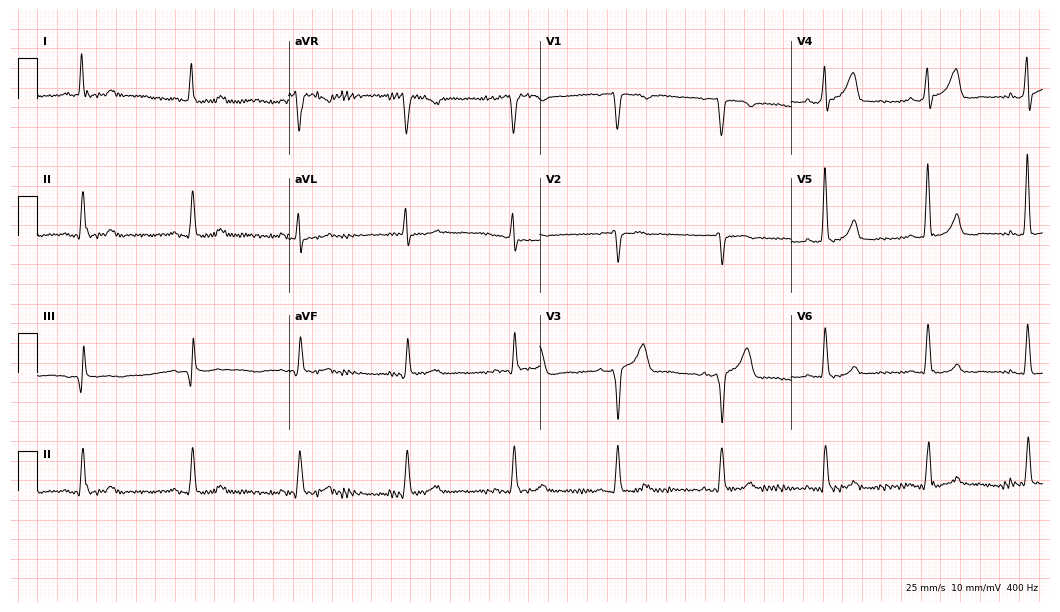
Resting 12-lead electrocardiogram (10.2-second recording at 400 Hz). Patient: a male, 84 years old. None of these six findings is recorded: first-degree AV block, right bundle branch block, left bundle branch block, sinus bradycardia, atrial fibrillation, sinus tachycardia. Findings outside these six are not listed.